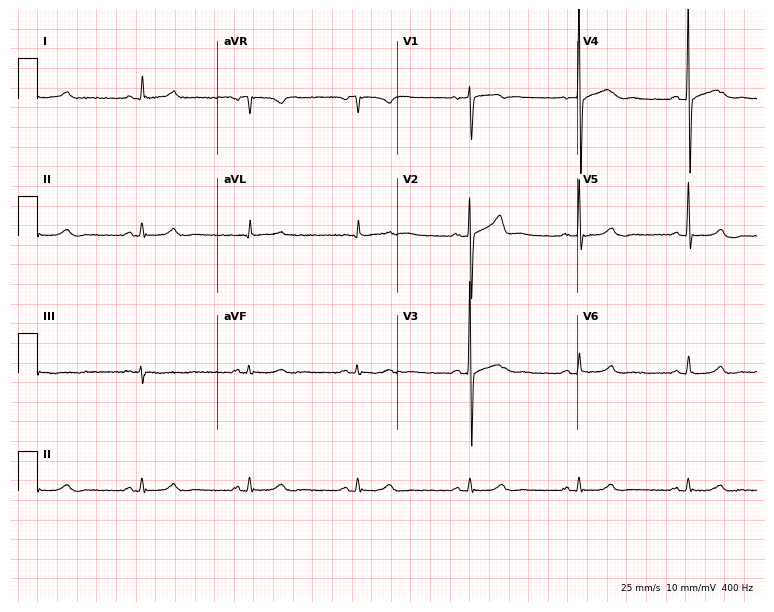
Standard 12-lead ECG recorded from a man, 54 years old. None of these six findings is recorded: first-degree AV block, right bundle branch block (RBBB), left bundle branch block (LBBB), sinus bradycardia, atrial fibrillation (AF), sinus tachycardia. Findings outside these six are not listed.